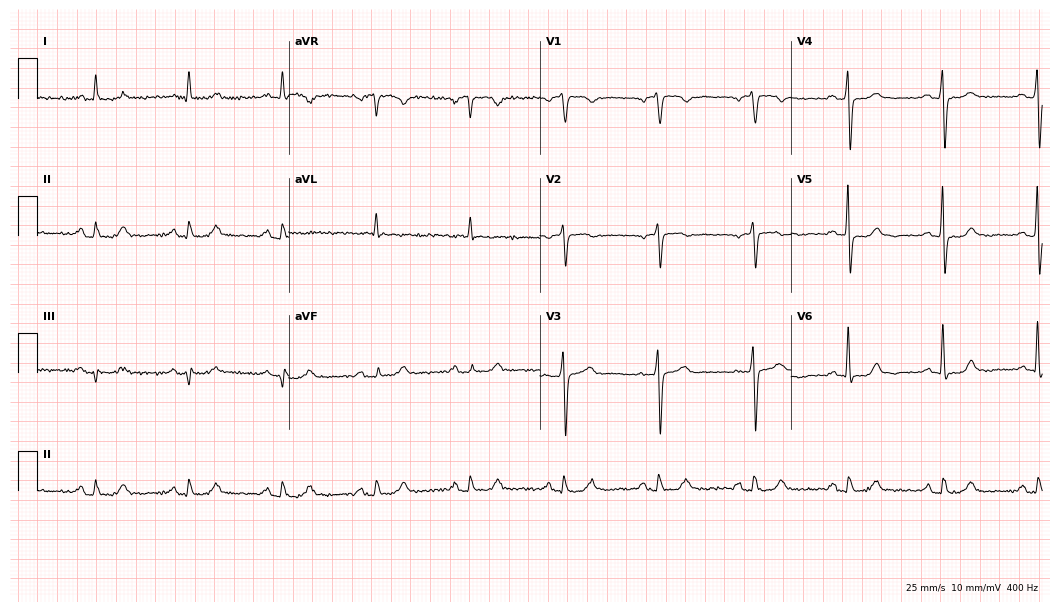
12-lead ECG (10.2-second recording at 400 Hz) from a male patient, 76 years old. Labelled as a normal ECG.